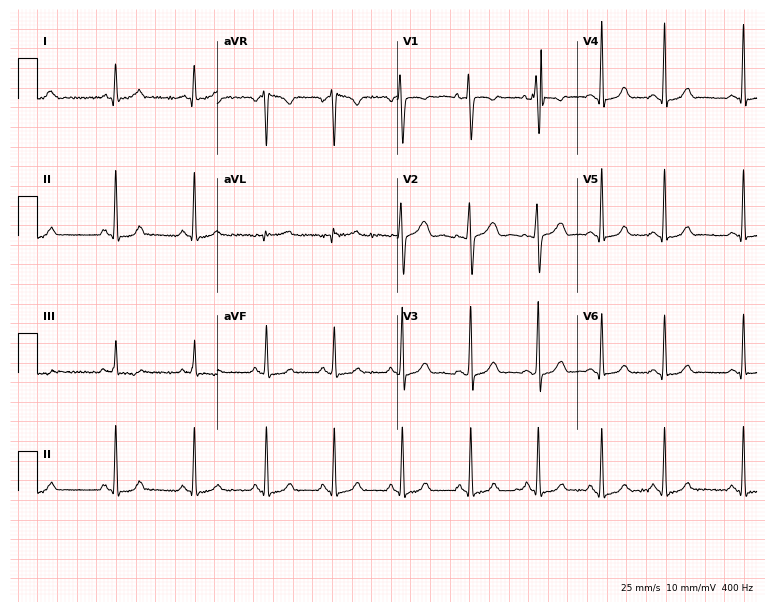
Resting 12-lead electrocardiogram. Patient: a 28-year-old female. None of these six findings is recorded: first-degree AV block, right bundle branch block, left bundle branch block, sinus bradycardia, atrial fibrillation, sinus tachycardia. Findings outside these six are not listed.